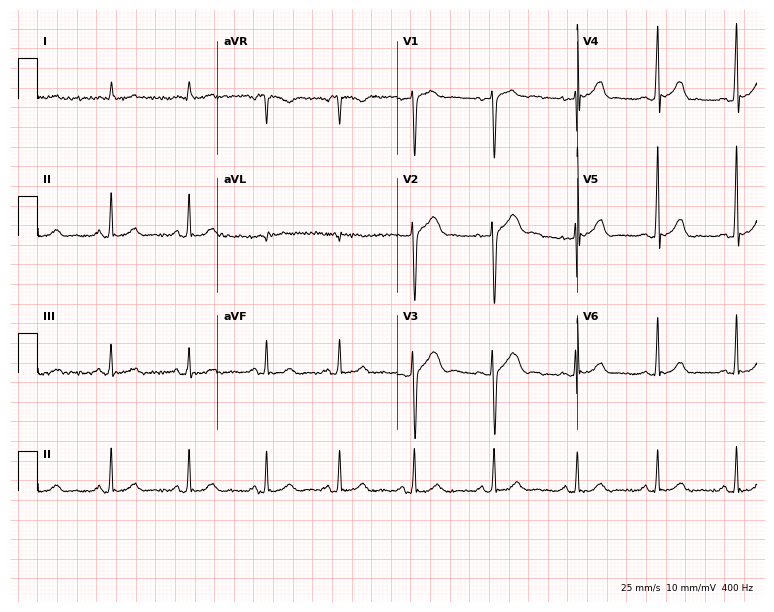
Electrocardiogram, a male, 22 years old. Of the six screened findings (first-degree AV block, right bundle branch block (RBBB), left bundle branch block (LBBB), sinus bradycardia, atrial fibrillation (AF), sinus tachycardia), none is recorded.